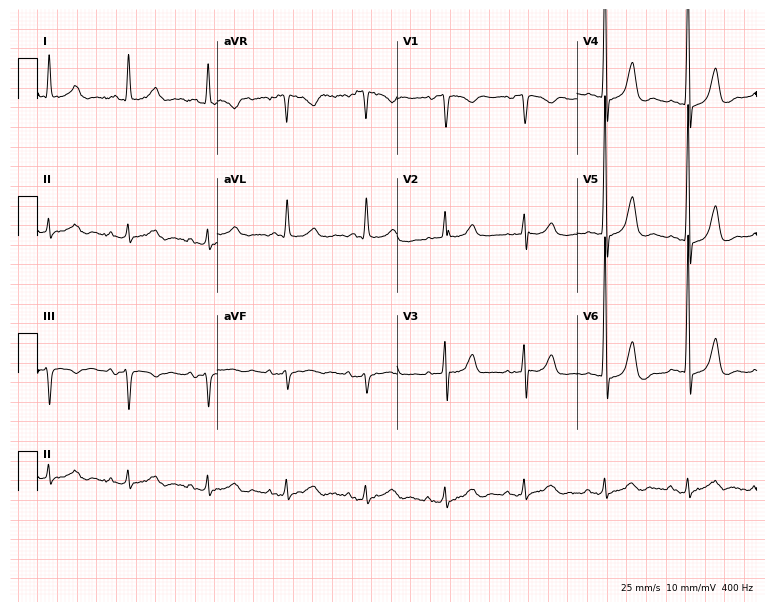
Electrocardiogram, a 72-year-old man. Of the six screened findings (first-degree AV block, right bundle branch block (RBBB), left bundle branch block (LBBB), sinus bradycardia, atrial fibrillation (AF), sinus tachycardia), none is recorded. Other findings, if any, are not listed.